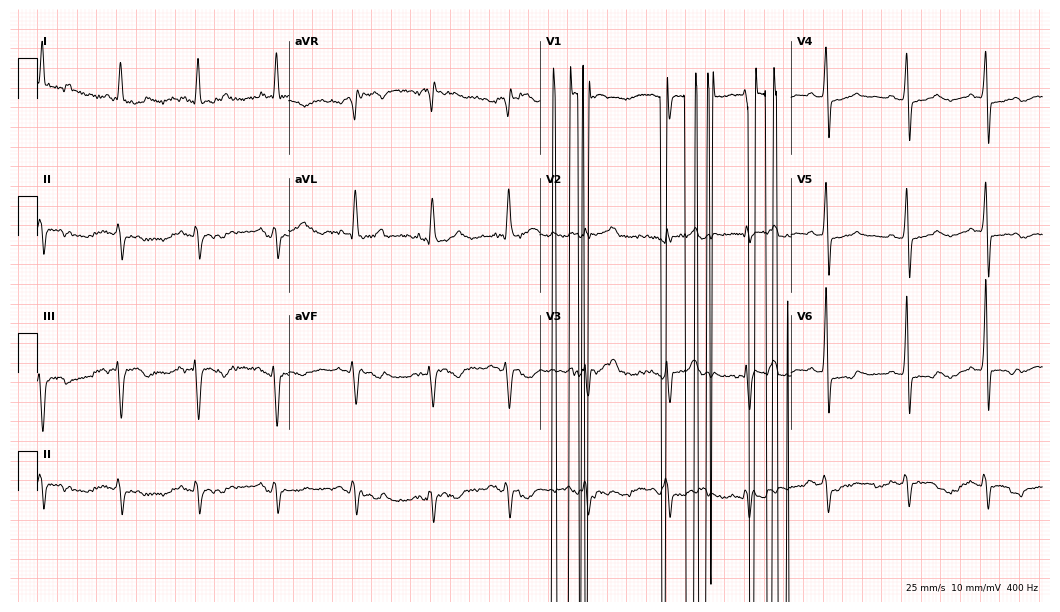
Standard 12-lead ECG recorded from a 66-year-old male patient (10.2-second recording at 400 Hz). None of these six findings is recorded: first-degree AV block, right bundle branch block (RBBB), left bundle branch block (LBBB), sinus bradycardia, atrial fibrillation (AF), sinus tachycardia. Findings outside these six are not listed.